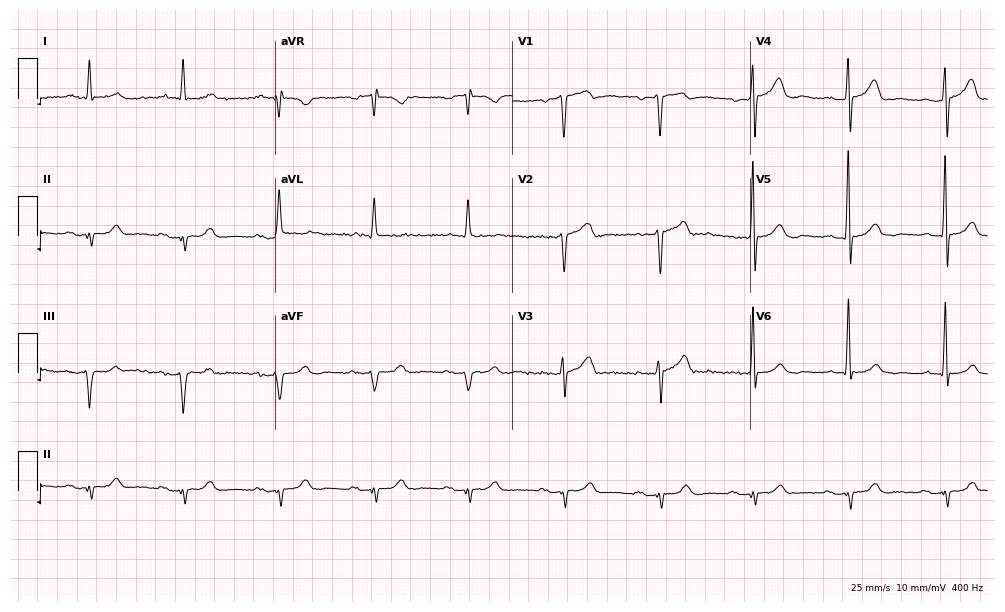
12-lead ECG (9.7-second recording at 400 Hz) from an 85-year-old man. Screened for six findings — first-degree AV block, right bundle branch block (RBBB), left bundle branch block (LBBB), sinus bradycardia, atrial fibrillation (AF), sinus tachycardia — none is recorded. Only these six findings were labelled.